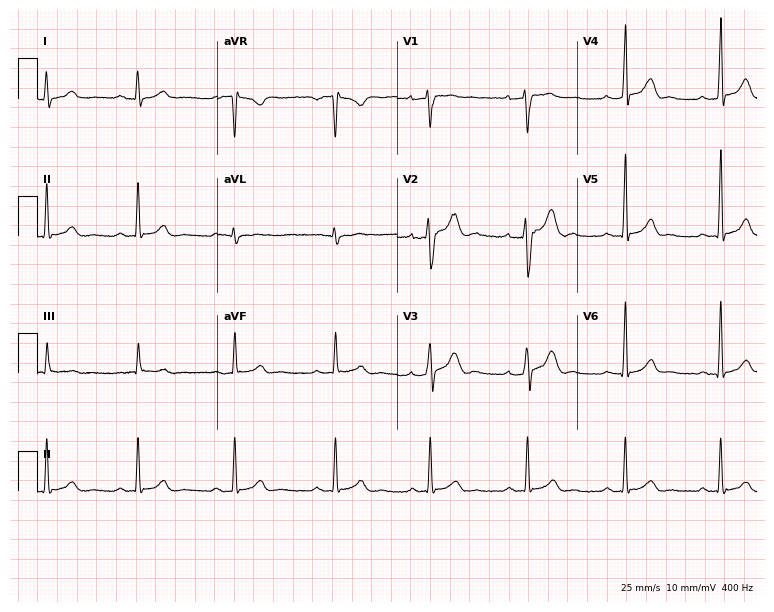
Resting 12-lead electrocardiogram. Patient: a 33-year-old male. Read as a normal ECG.